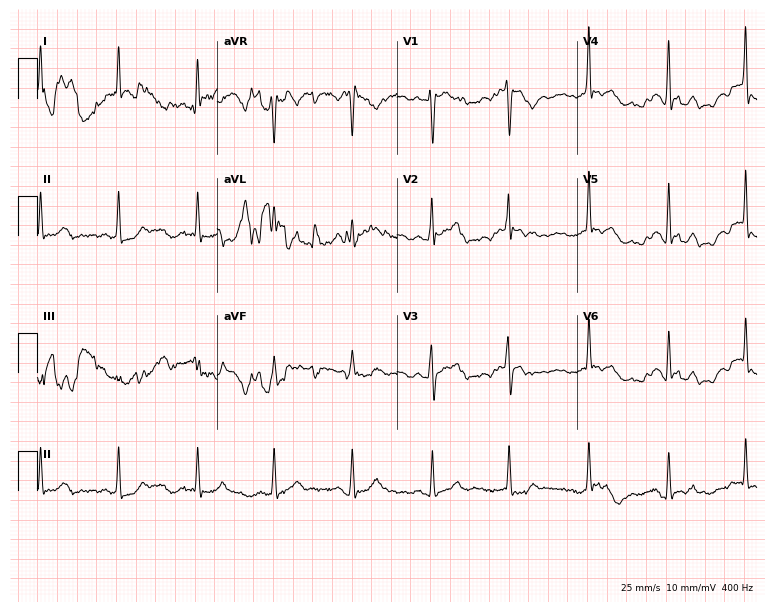
12-lead ECG (7.3-second recording at 400 Hz) from a female, 41 years old. Labelled as a normal ECG.